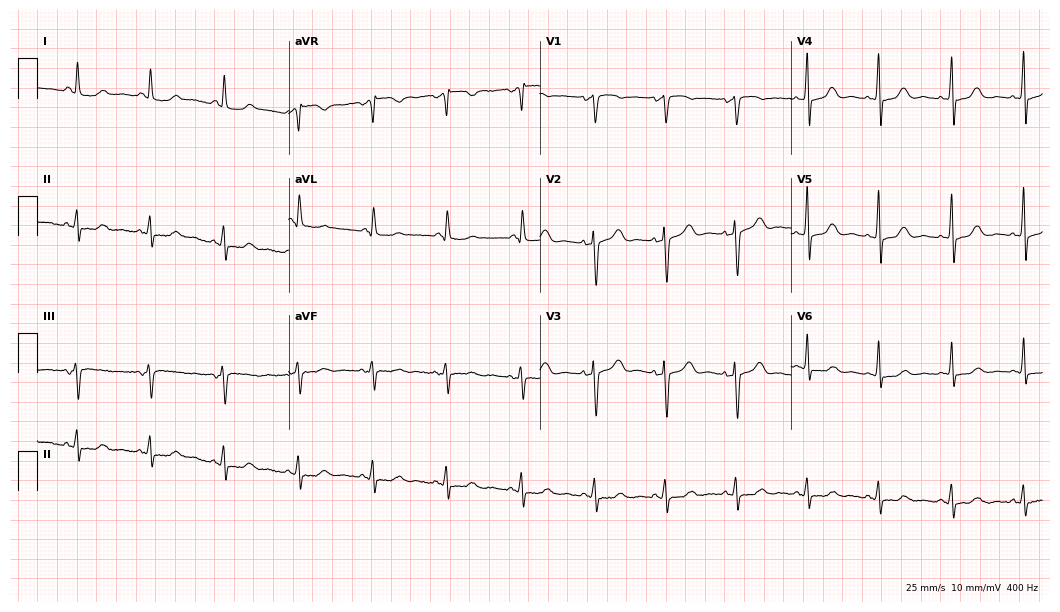
12-lead ECG from a female patient, 62 years old. Screened for six findings — first-degree AV block, right bundle branch block, left bundle branch block, sinus bradycardia, atrial fibrillation, sinus tachycardia — none is recorded.